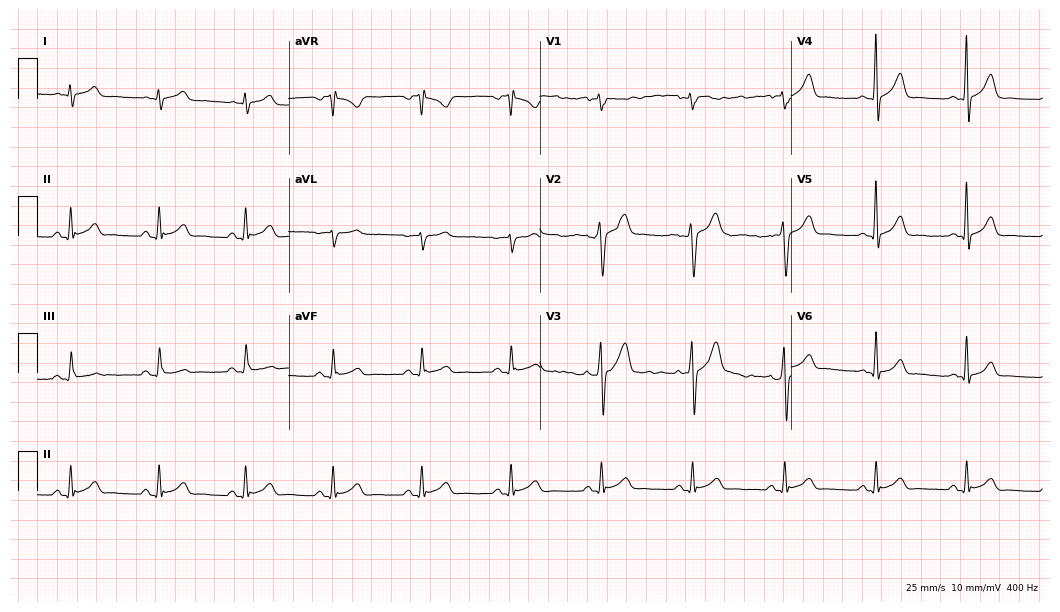
Standard 12-lead ECG recorded from a male patient, 45 years old. Read as a normal ECG.